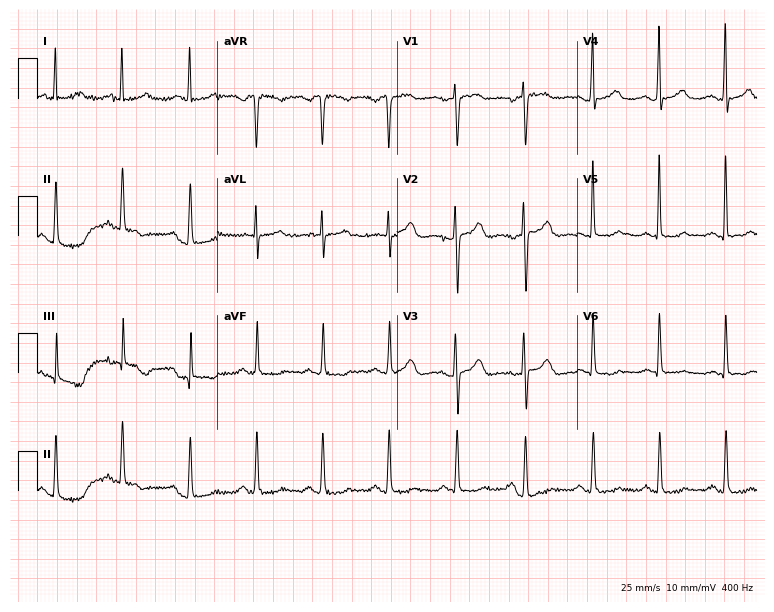
Electrocardiogram (7.3-second recording at 400 Hz), a female, 46 years old. Of the six screened findings (first-degree AV block, right bundle branch block, left bundle branch block, sinus bradycardia, atrial fibrillation, sinus tachycardia), none is recorded.